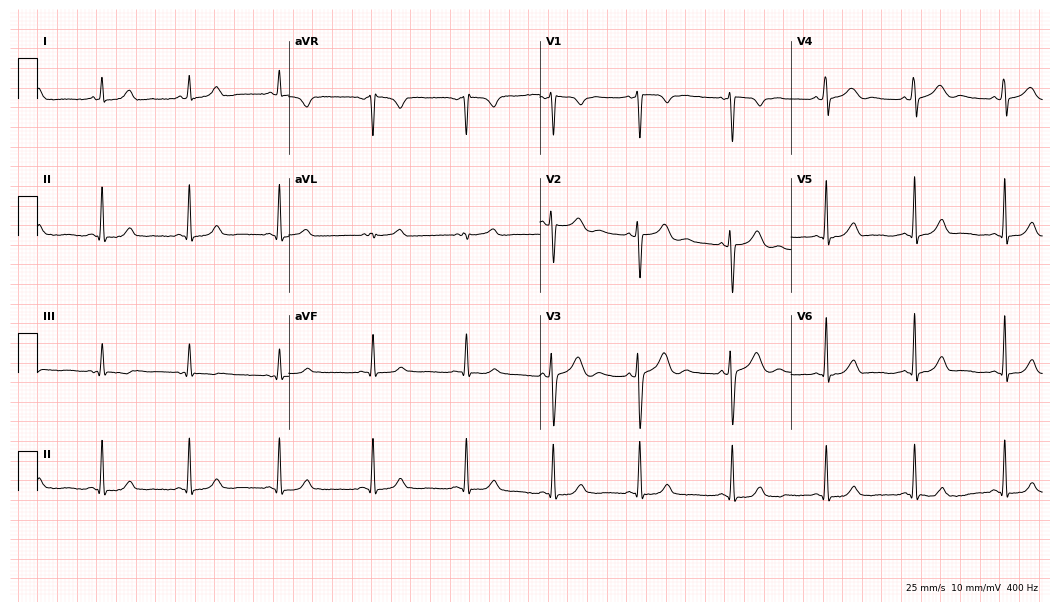
Resting 12-lead electrocardiogram (10.2-second recording at 400 Hz). Patient: a 28-year-old woman. Read as a normal ECG.